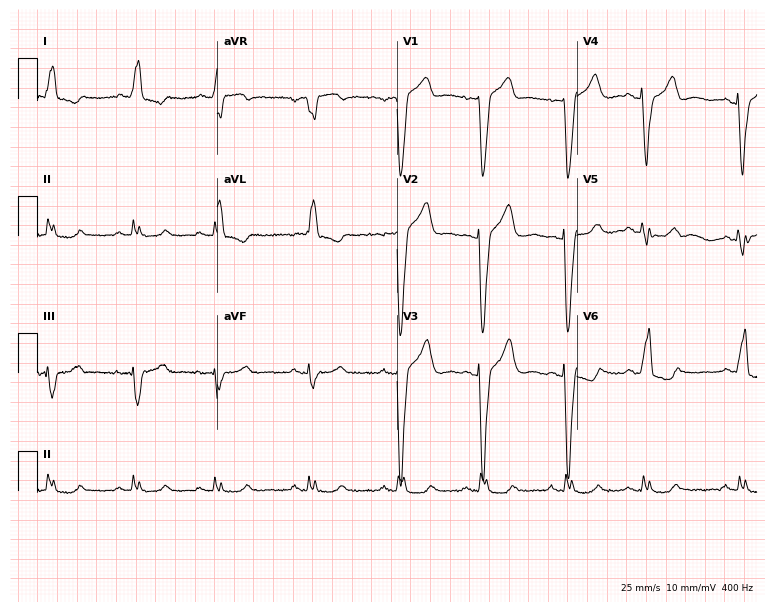
12-lead ECG (7.3-second recording at 400 Hz) from a male, 83 years old. Findings include left bundle branch block (LBBB).